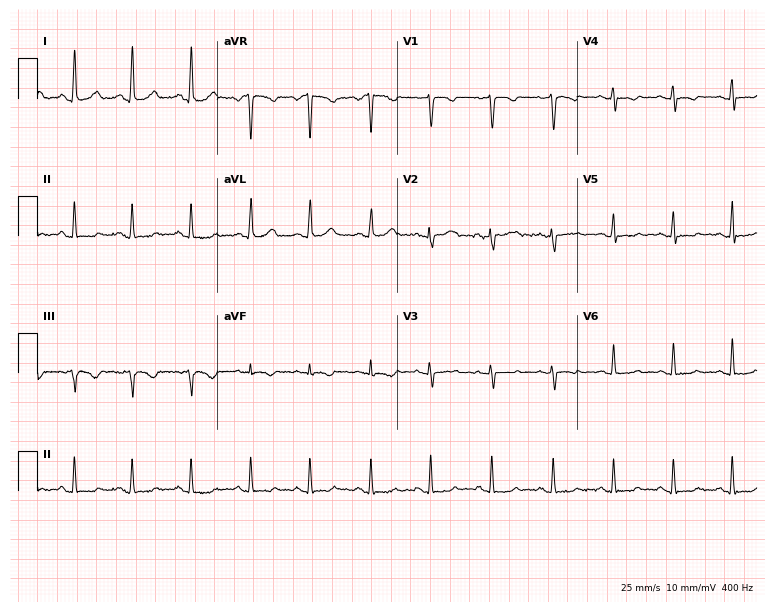
Standard 12-lead ECG recorded from a female patient, 36 years old. None of these six findings is recorded: first-degree AV block, right bundle branch block (RBBB), left bundle branch block (LBBB), sinus bradycardia, atrial fibrillation (AF), sinus tachycardia.